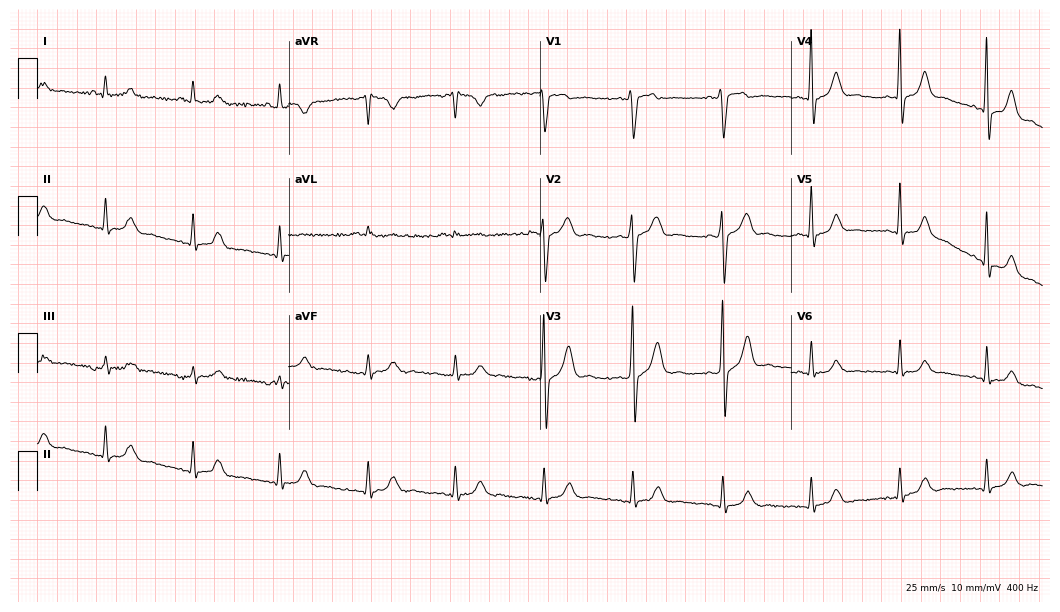
Electrocardiogram (10.2-second recording at 400 Hz), a male, 59 years old. Overall reading on record: normal ECG.